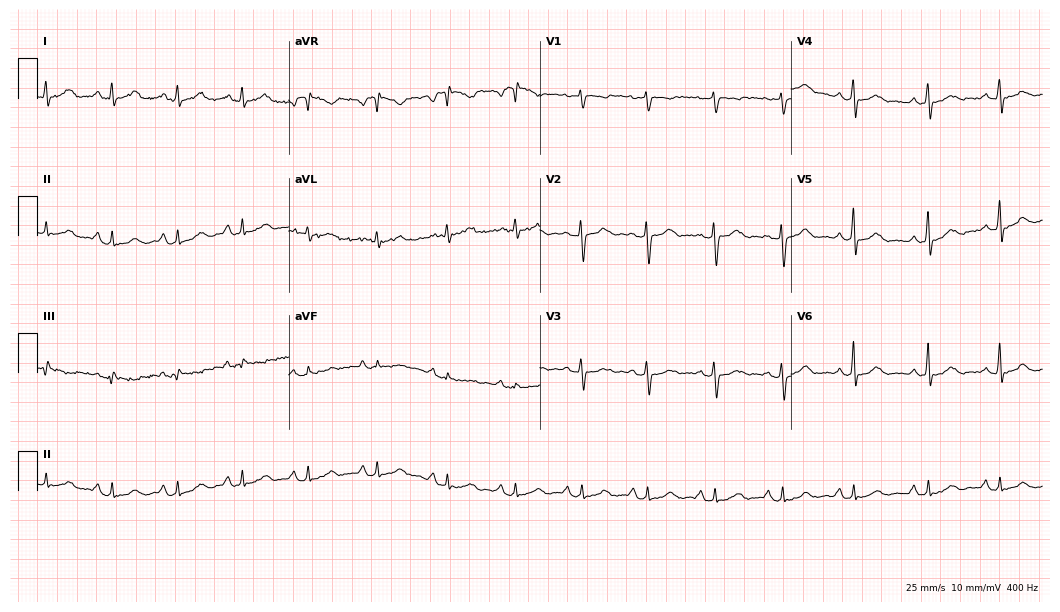
12-lead ECG from a female, 45 years old. Recorded interpretation: within normal limits.